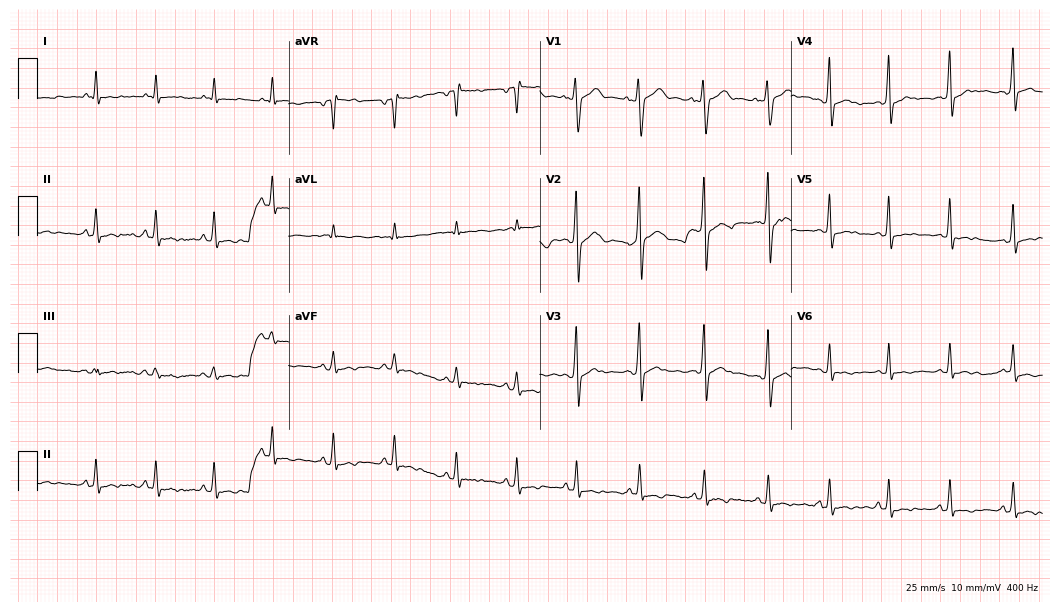
Resting 12-lead electrocardiogram (10.2-second recording at 400 Hz). Patient: a male, 19 years old. None of these six findings is recorded: first-degree AV block, right bundle branch block (RBBB), left bundle branch block (LBBB), sinus bradycardia, atrial fibrillation (AF), sinus tachycardia. Other findings, if any, are not listed.